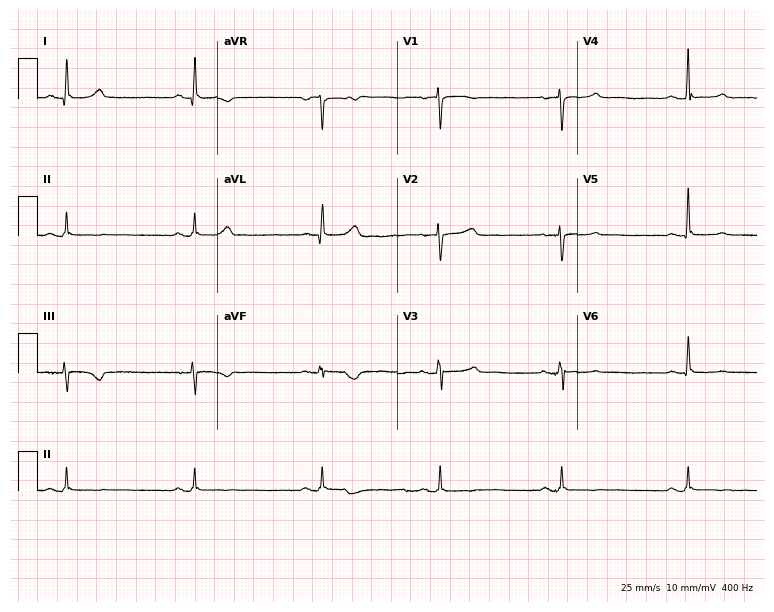
Standard 12-lead ECG recorded from a 54-year-old female patient (7.3-second recording at 400 Hz). The tracing shows sinus bradycardia (a sinus rate of 50 beats per minute or less).